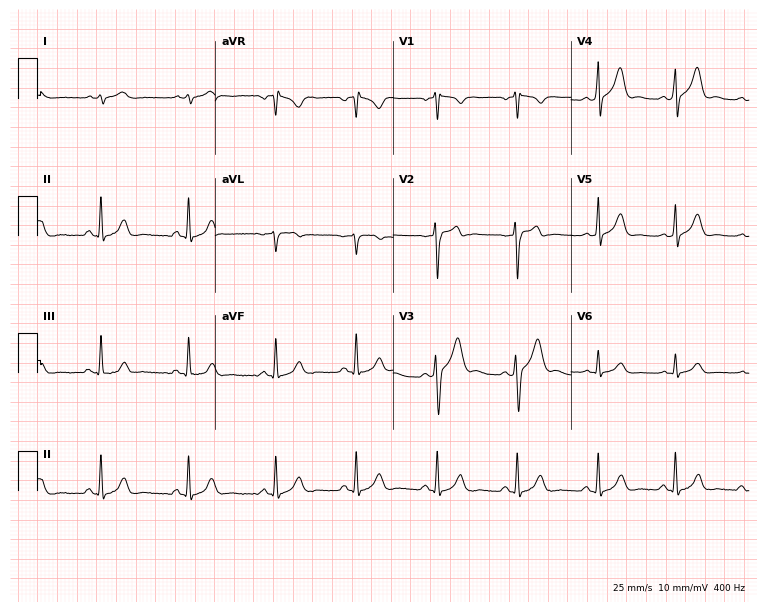
Standard 12-lead ECG recorded from a male patient, 36 years old. Read as a normal ECG.